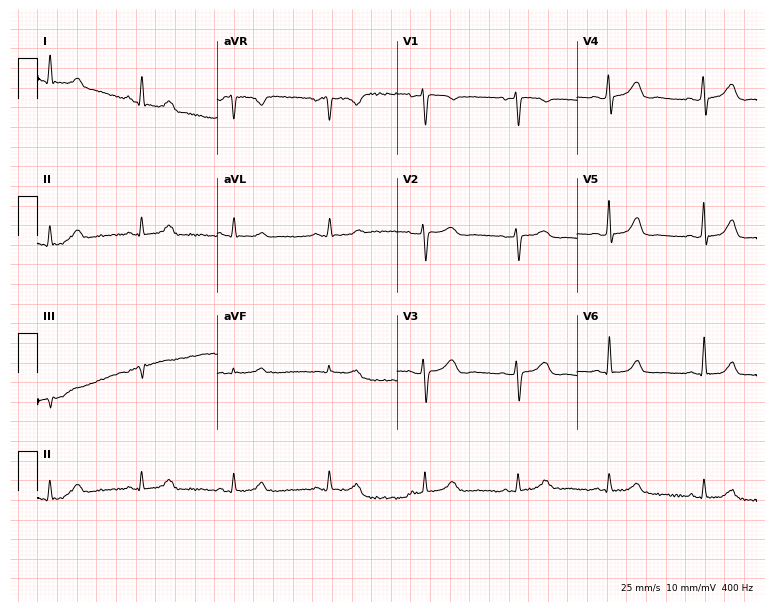
Standard 12-lead ECG recorded from a female patient, 40 years old. None of these six findings is recorded: first-degree AV block, right bundle branch block (RBBB), left bundle branch block (LBBB), sinus bradycardia, atrial fibrillation (AF), sinus tachycardia.